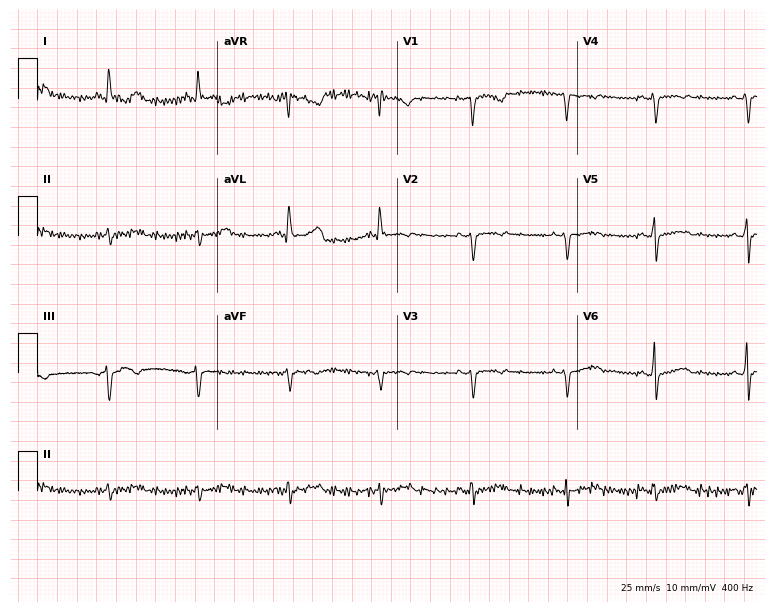
ECG (7.3-second recording at 400 Hz) — a 40-year-old female. Screened for six findings — first-degree AV block, right bundle branch block (RBBB), left bundle branch block (LBBB), sinus bradycardia, atrial fibrillation (AF), sinus tachycardia — none is recorded. Only these six findings were labelled.